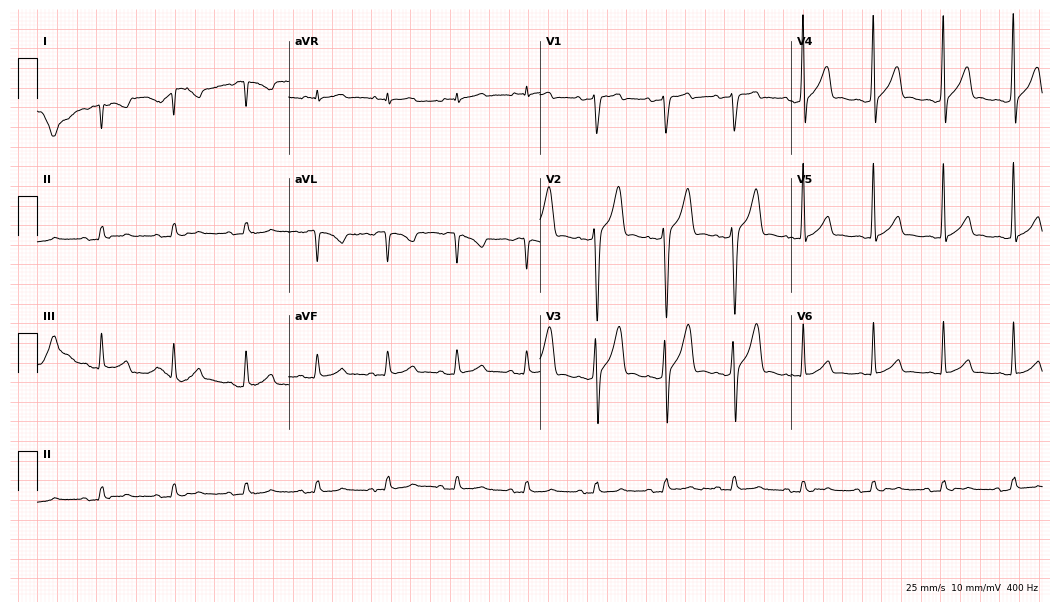
Resting 12-lead electrocardiogram. Patient: a 26-year-old male. None of these six findings is recorded: first-degree AV block, right bundle branch block, left bundle branch block, sinus bradycardia, atrial fibrillation, sinus tachycardia.